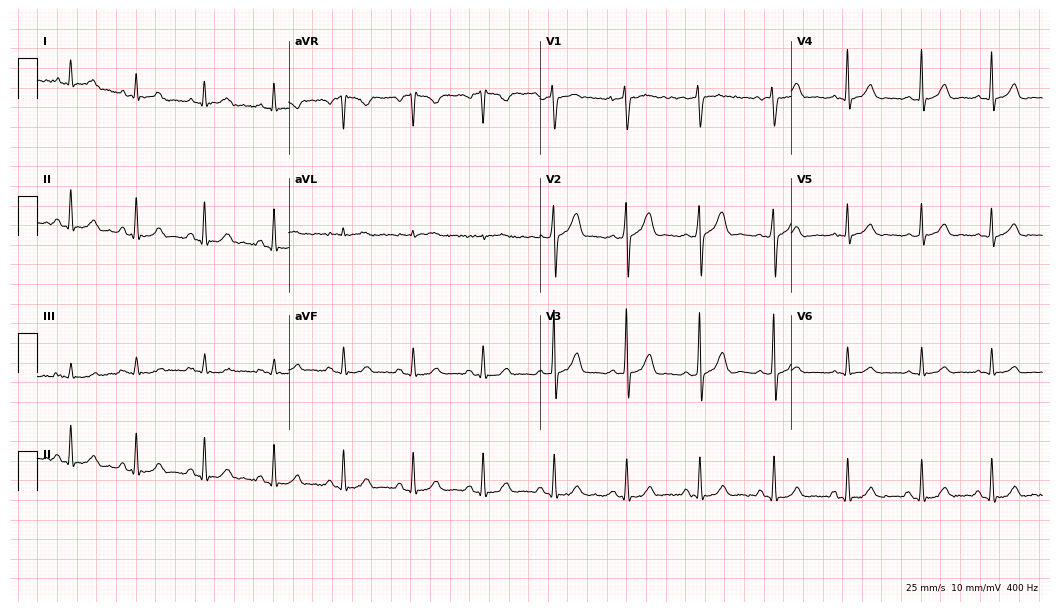
12-lead ECG from a 42-year-old male patient (10.2-second recording at 400 Hz). Recorded interpretation: within normal limits.